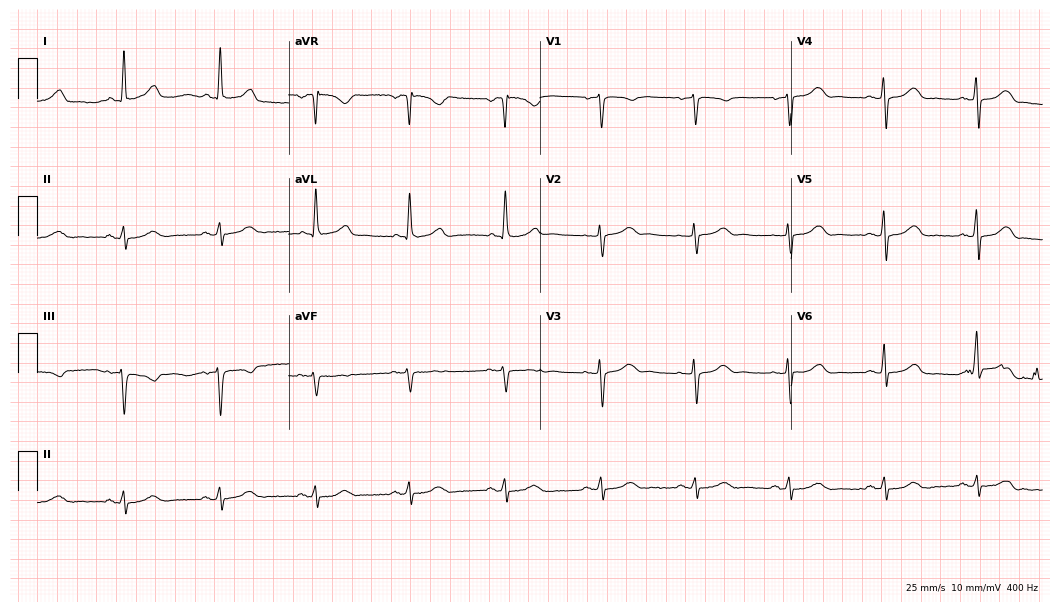
Standard 12-lead ECG recorded from a 65-year-old woman. Read as a normal ECG.